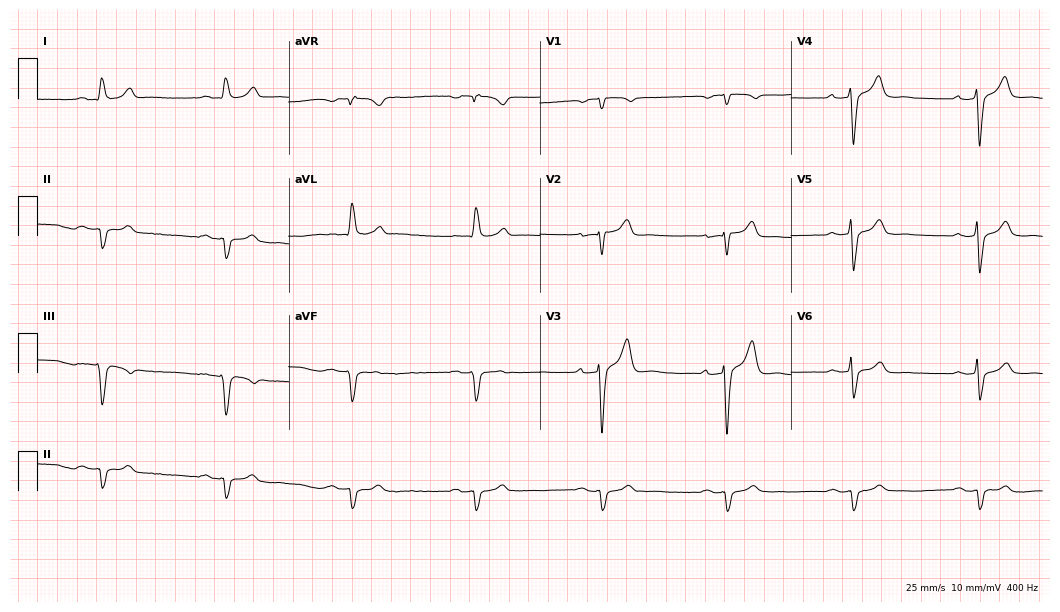
Electrocardiogram (10.2-second recording at 400 Hz), an 80-year-old male patient. Interpretation includes first-degree AV block, right bundle branch block, sinus bradycardia (a sinus rate of 50 beats per minute or less).